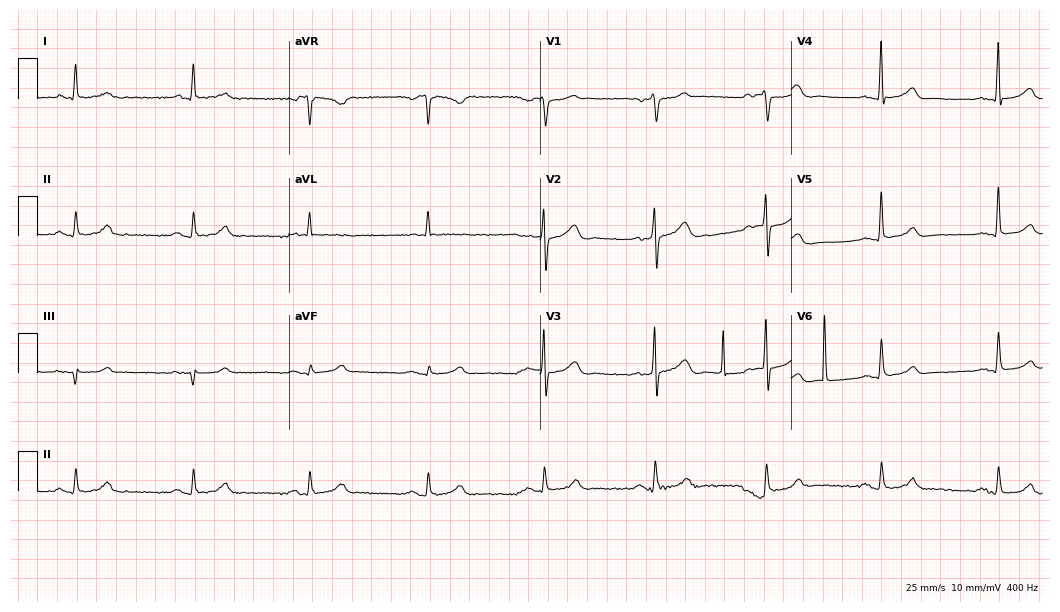
12-lead ECG from a 66-year-old male. Labelled as a normal ECG.